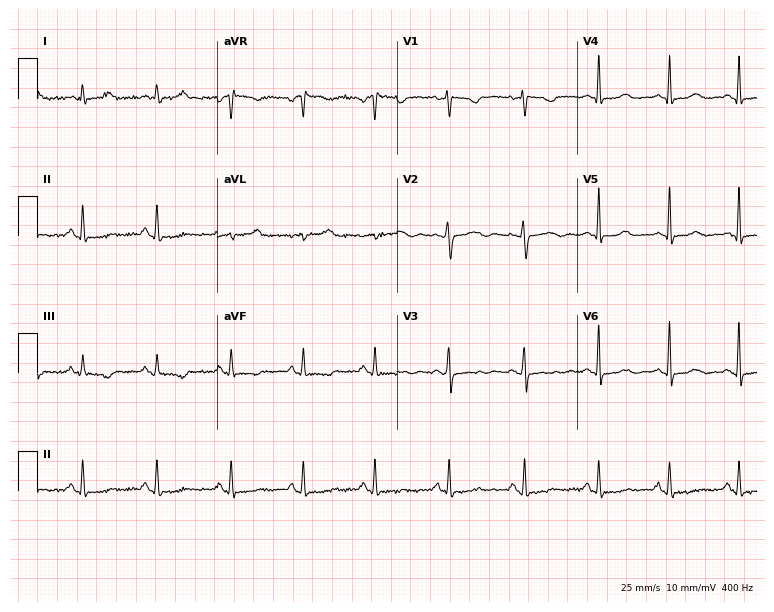
Electrocardiogram (7.3-second recording at 400 Hz), a female, 34 years old. Of the six screened findings (first-degree AV block, right bundle branch block, left bundle branch block, sinus bradycardia, atrial fibrillation, sinus tachycardia), none is recorded.